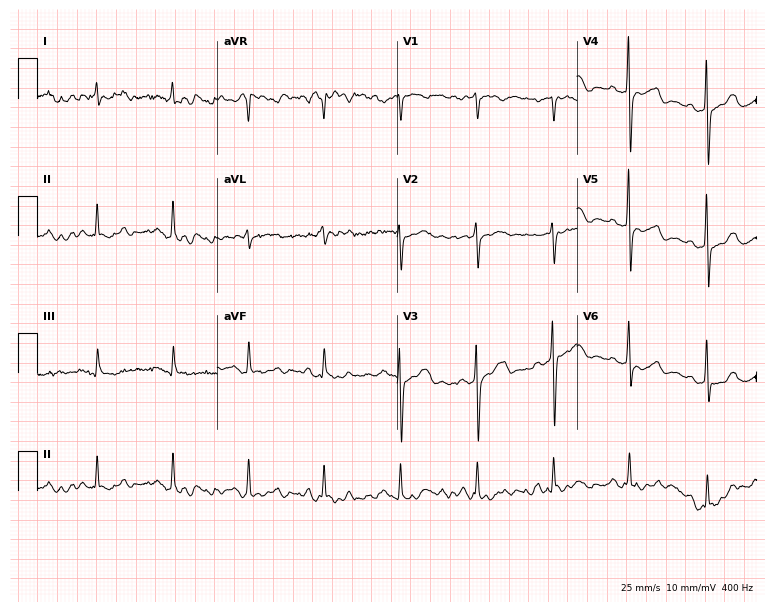
Electrocardiogram, a 70-year-old male patient. Of the six screened findings (first-degree AV block, right bundle branch block, left bundle branch block, sinus bradycardia, atrial fibrillation, sinus tachycardia), none is recorded. Only these six findings were labelled.